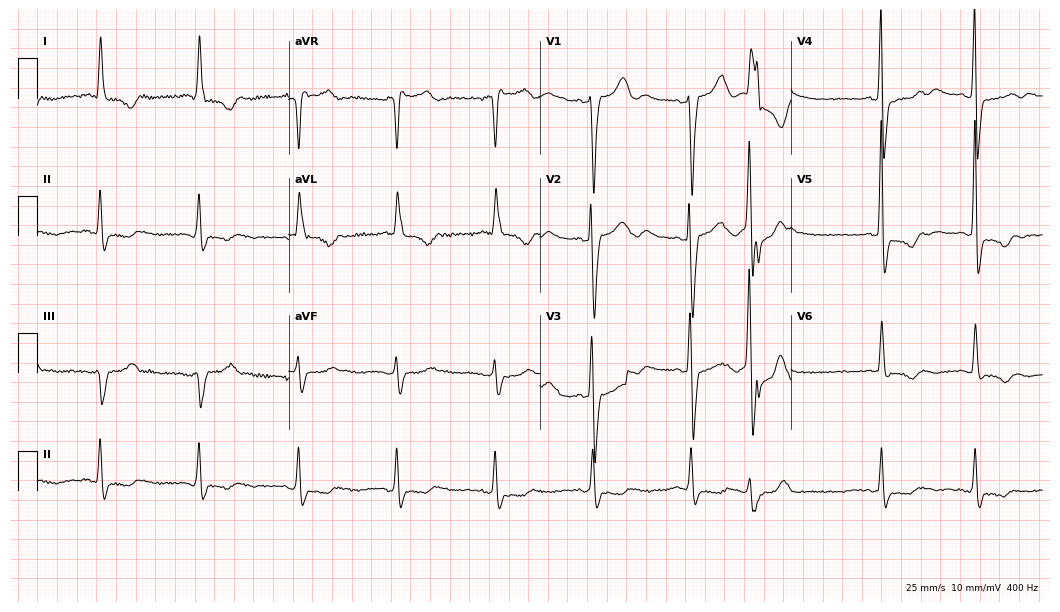
Standard 12-lead ECG recorded from a 70-year-old man. None of these six findings is recorded: first-degree AV block, right bundle branch block, left bundle branch block, sinus bradycardia, atrial fibrillation, sinus tachycardia.